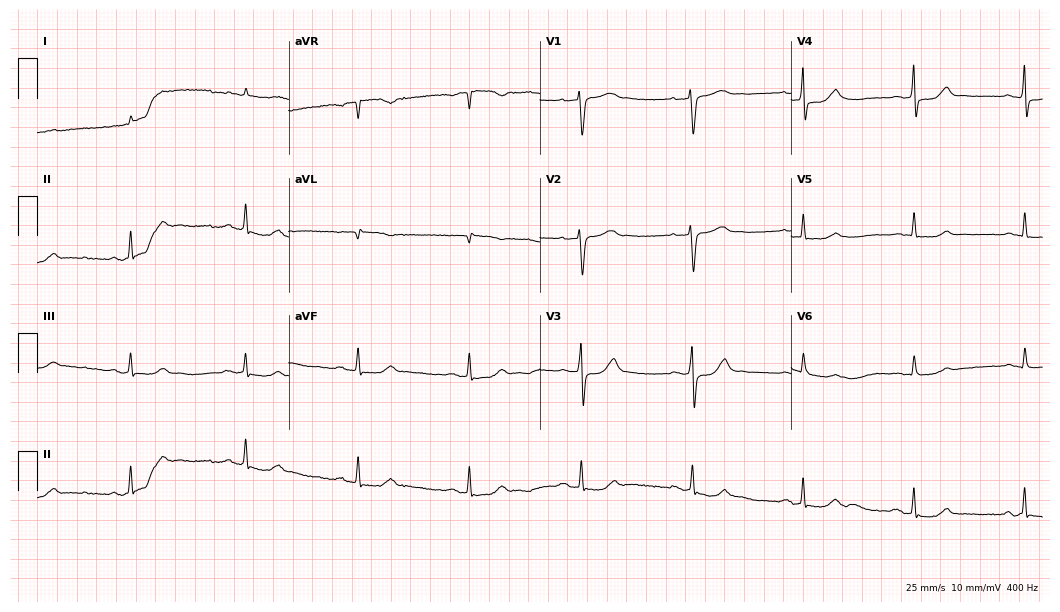
12-lead ECG from a man, 81 years old. Screened for six findings — first-degree AV block, right bundle branch block, left bundle branch block, sinus bradycardia, atrial fibrillation, sinus tachycardia — none is recorded. Other findings, if any, are not listed.